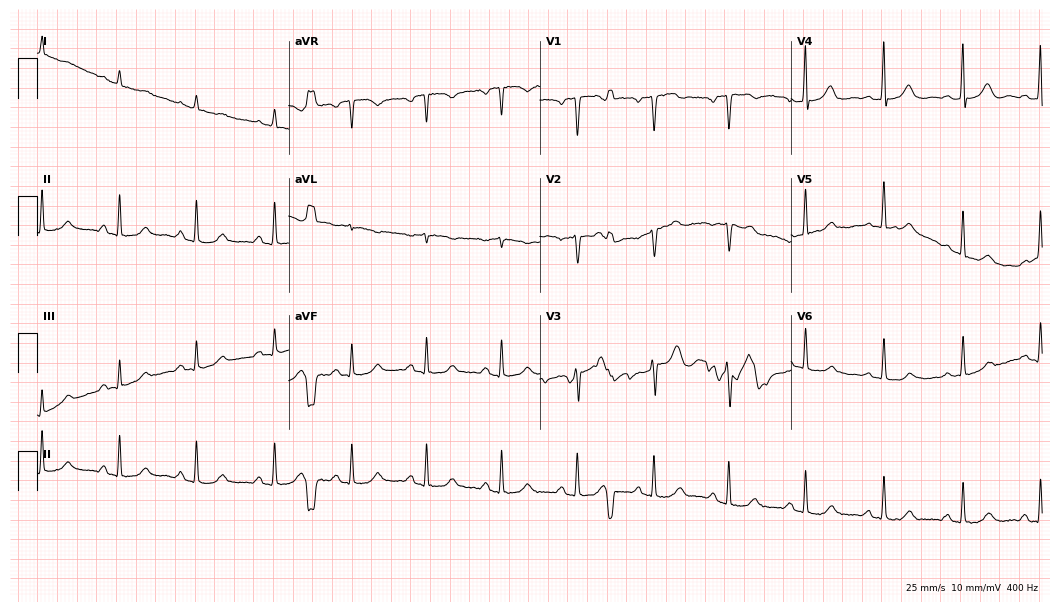
Electrocardiogram (10.2-second recording at 400 Hz), a 67-year-old woman. Overall reading on record: normal ECG.